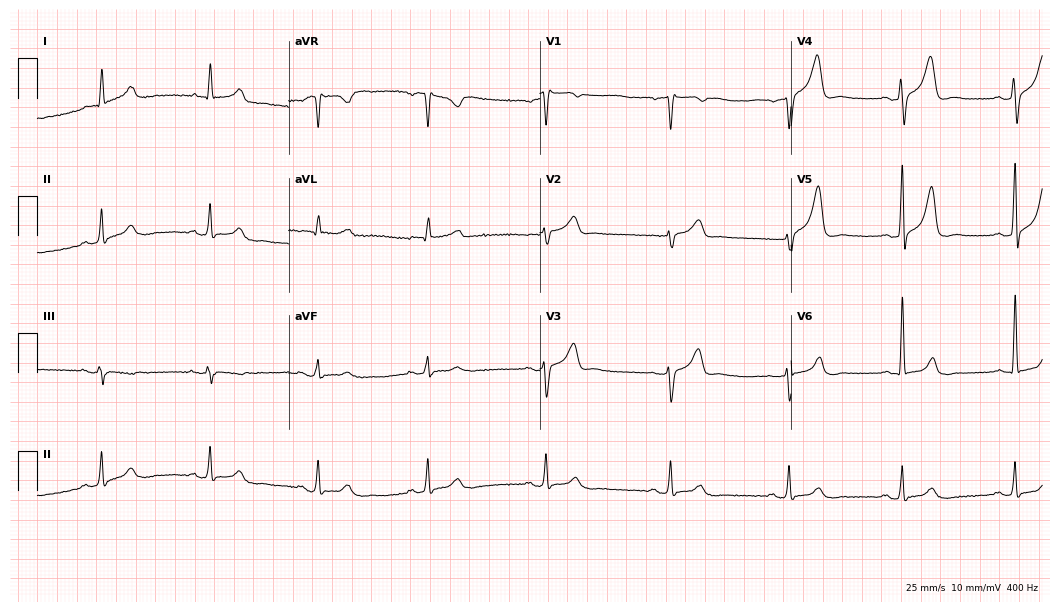
ECG (10.2-second recording at 400 Hz) — a 59-year-old man. Labelled as a normal ECG.